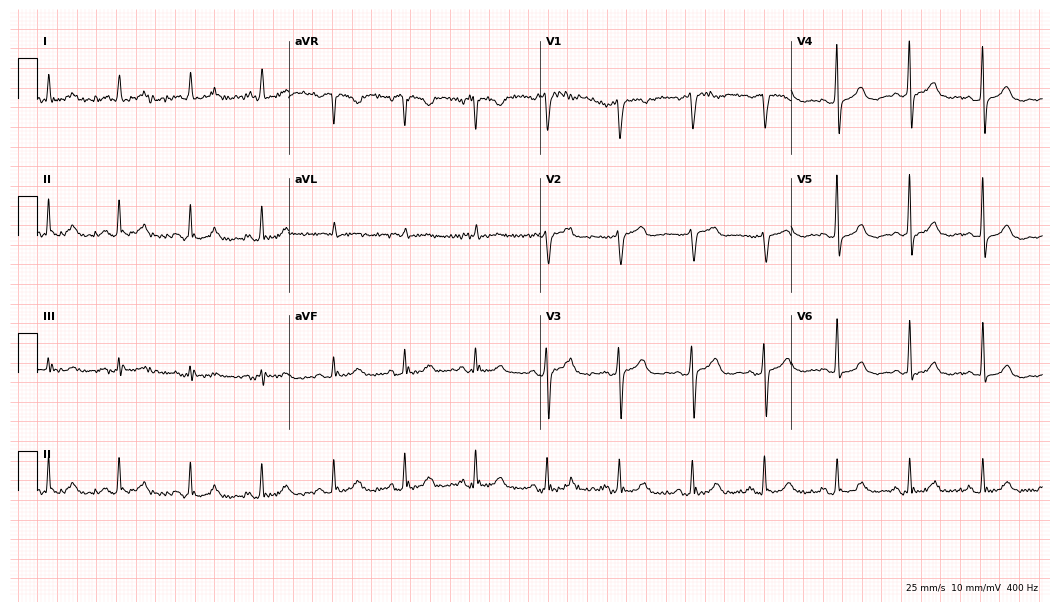
ECG (10.2-second recording at 400 Hz) — a woman, 63 years old. Labelled as a normal ECG.